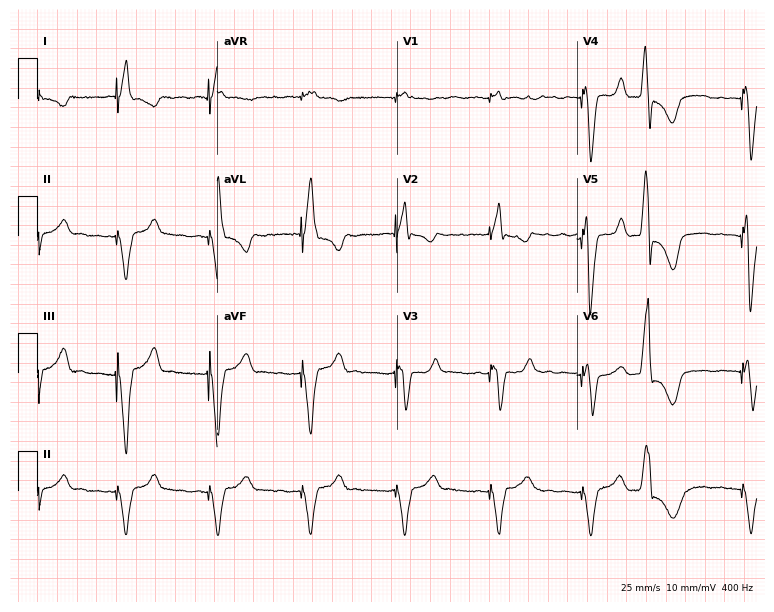
12-lead ECG from a female, 73 years old. No first-degree AV block, right bundle branch block, left bundle branch block, sinus bradycardia, atrial fibrillation or sinus tachycardia recorded for this tracing. Other findings, if any, are not listed.